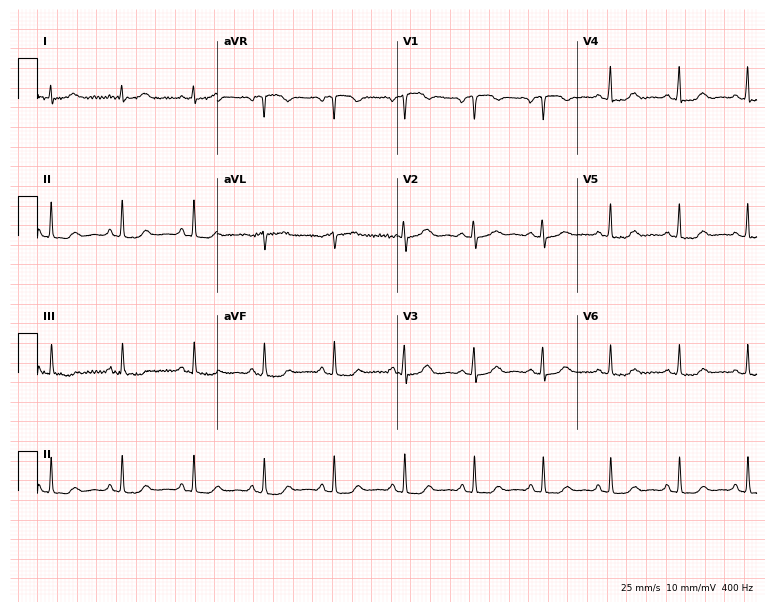
12-lead ECG from a 59-year-old female patient. Recorded interpretation: within normal limits.